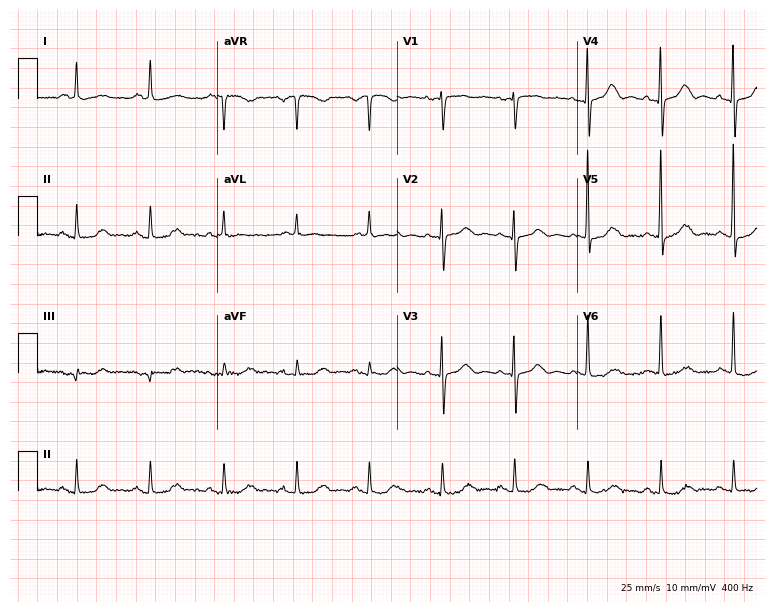
Standard 12-lead ECG recorded from a 79-year-old female patient (7.3-second recording at 400 Hz). None of these six findings is recorded: first-degree AV block, right bundle branch block, left bundle branch block, sinus bradycardia, atrial fibrillation, sinus tachycardia. Other findings, if any, are not listed.